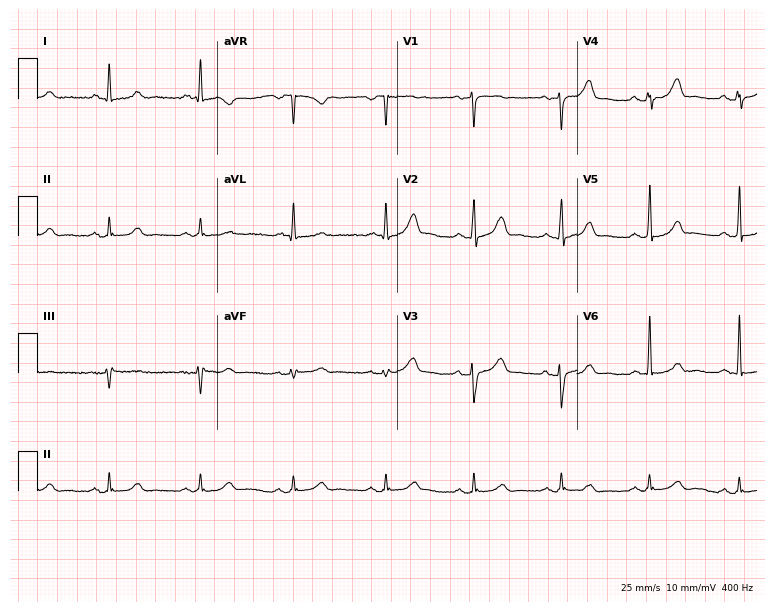
12-lead ECG (7.3-second recording at 400 Hz) from a woman, 52 years old. Labelled as a normal ECG.